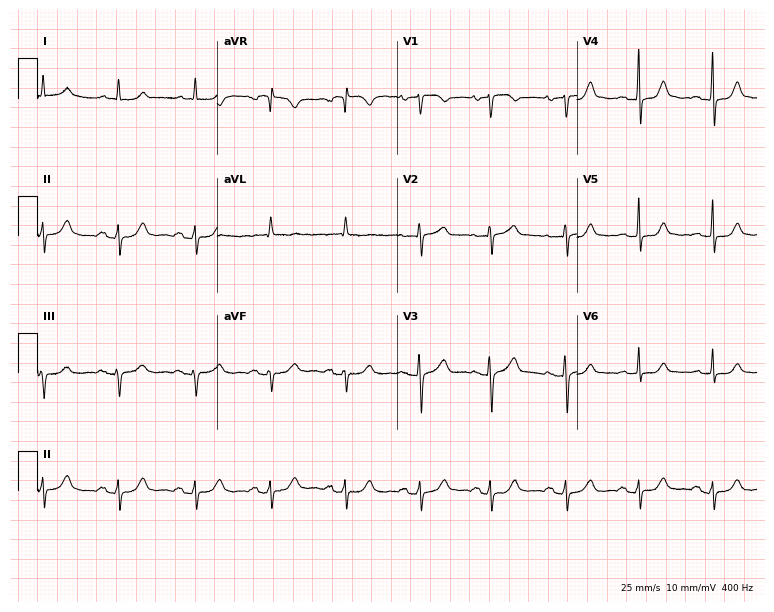
Standard 12-lead ECG recorded from a 75-year-old female (7.3-second recording at 400 Hz). None of these six findings is recorded: first-degree AV block, right bundle branch block, left bundle branch block, sinus bradycardia, atrial fibrillation, sinus tachycardia. Other findings, if any, are not listed.